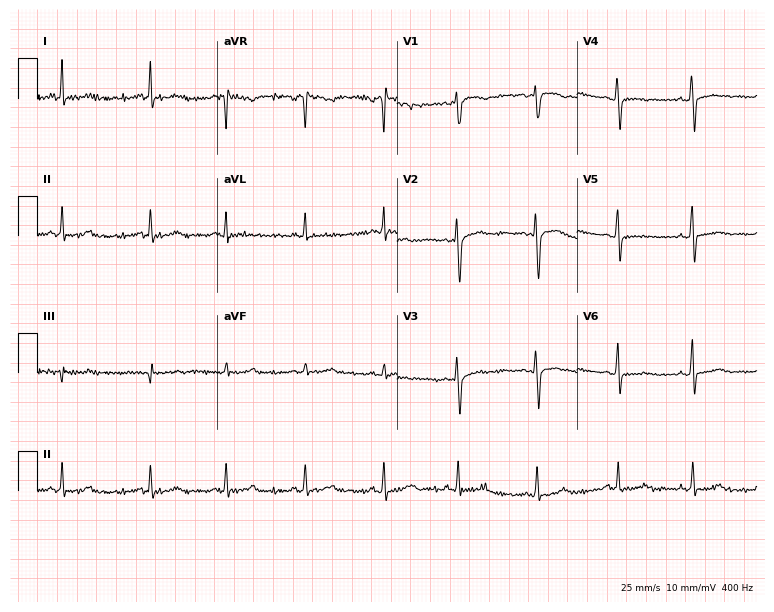
Standard 12-lead ECG recorded from a woman, 26 years old (7.3-second recording at 400 Hz). Read as a normal ECG.